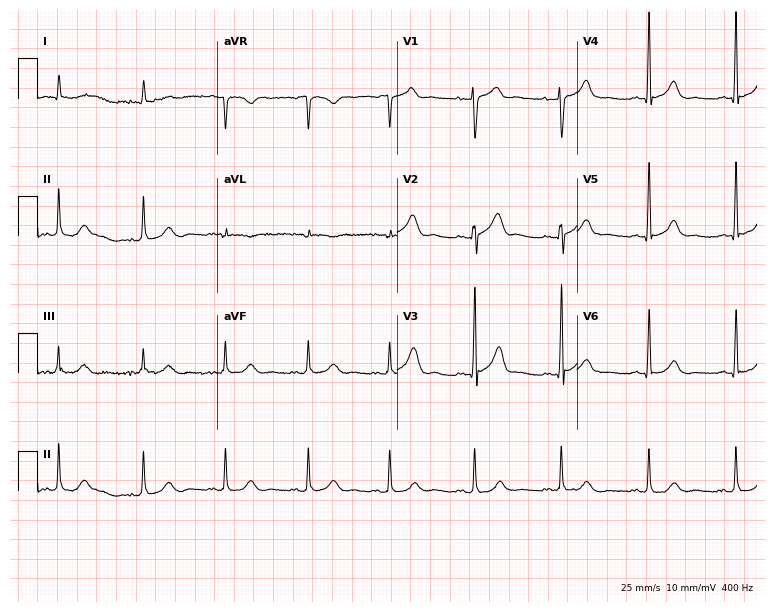
12-lead ECG from a man, 59 years old. Labelled as a normal ECG.